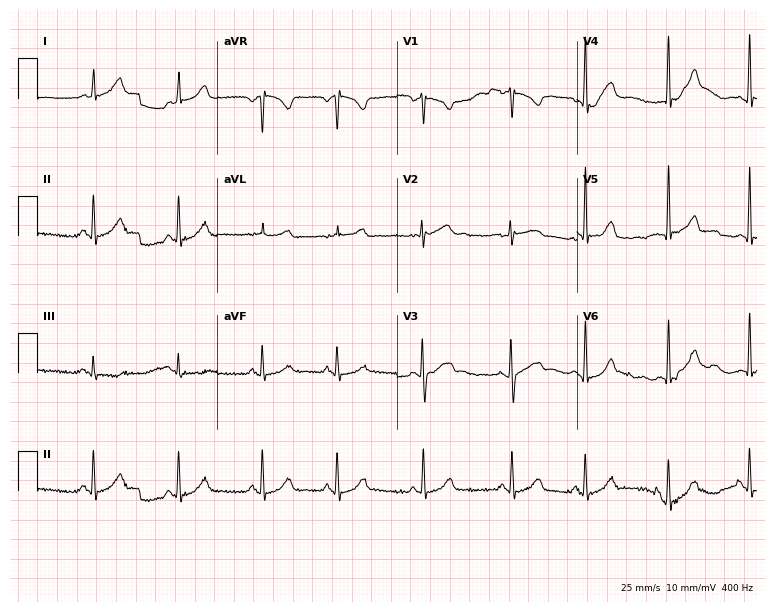
12-lead ECG (7.3-second recording at 400 Hz) from an 18-year-old female patient. Labelled as a normal ECG.